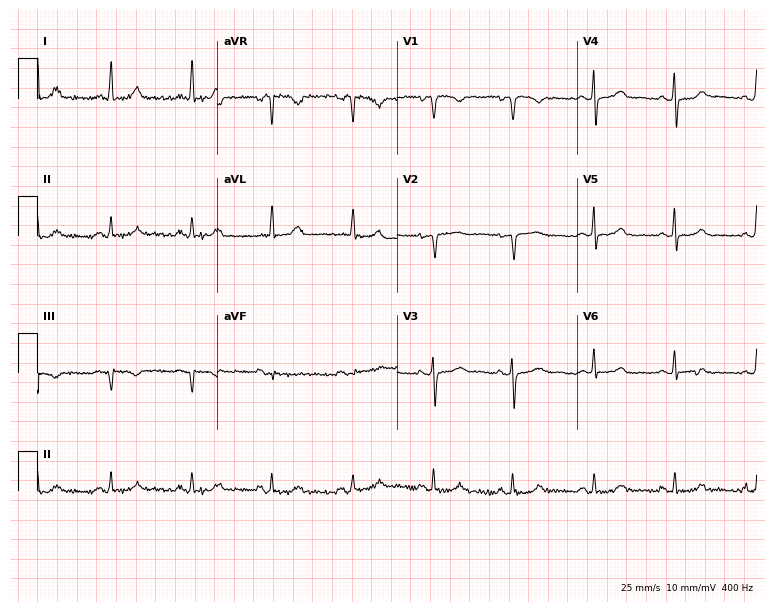
ECG (7.3-second recording at 400 Hz) — a female patient, 67 years old. Labelled as a normal ECG.